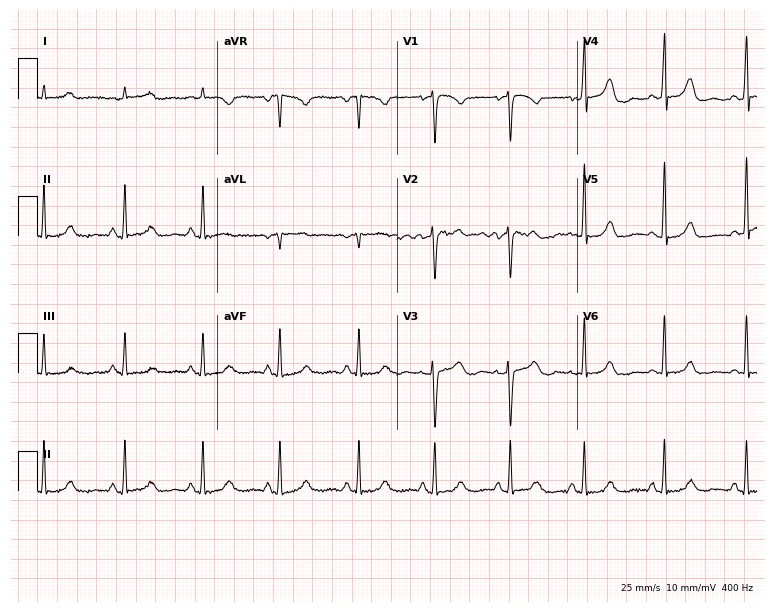
Electrocardiogram, a 40-year-old female. Overall reading on record: normal ECG.